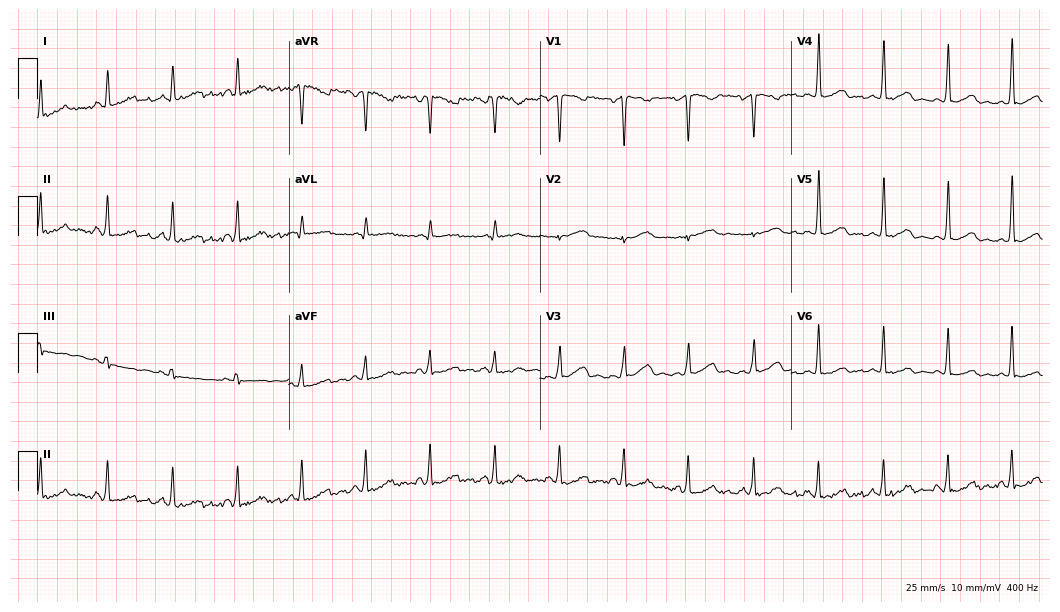
Resting 12-lead electrocardiogram (10.2-second recording at 400 Hz). Patient: a 41-year-old female. None of these six findings is recorded: first-degree AV block, right bundle branch block, left bundle branch block, sinus bradycardia, atrial fibrillation, sinus tachycardia.